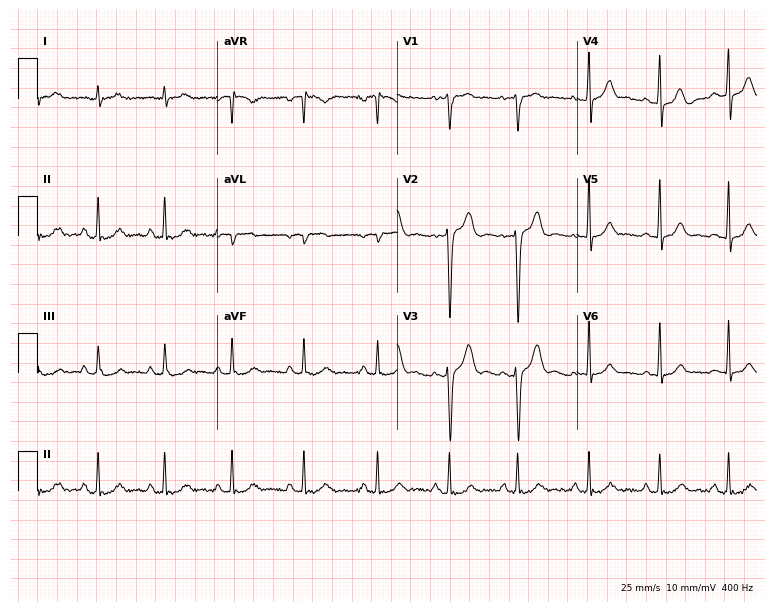
Standard 12-lead ECG recorded from a man, 22 years old (7.3-second recording at 400 Hz). Read as a normal ECG.